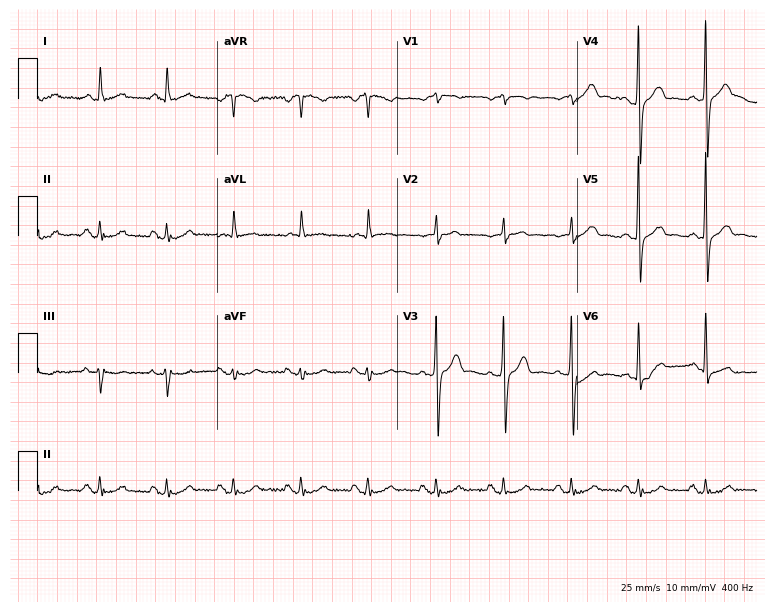
Standard 12-lead ECG recorded from a male, 60 years old. Read as a normal ECG.